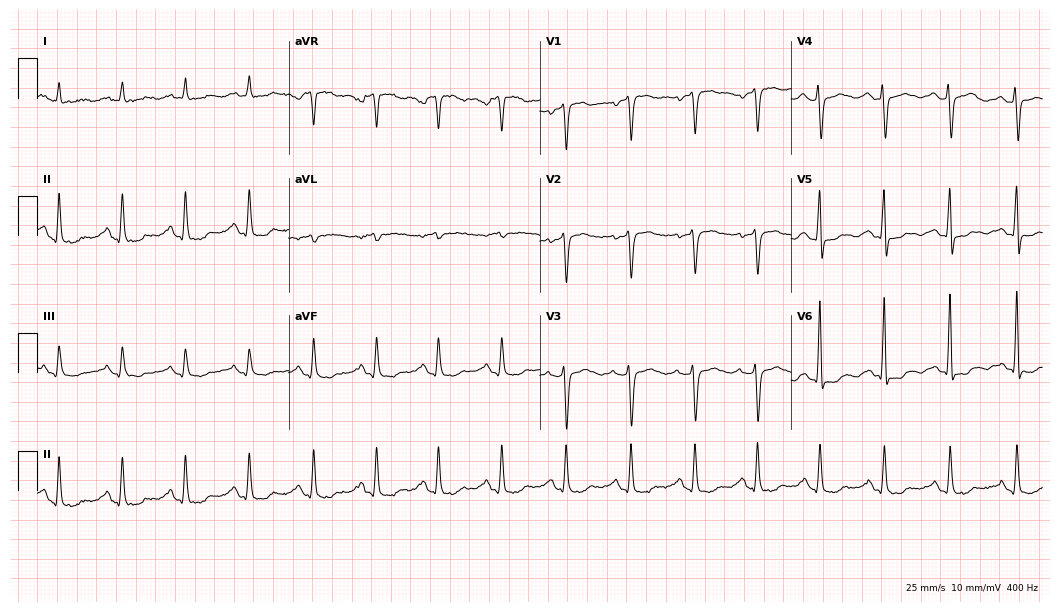
12-lead ECG from a 58-year-old female patient. Screened for six findings — first-degree AV block, right bundle branch block, left bundle branch block, sinus bradycardia, atrial fibrillation, sinus tachycardia — none is recorded. Findings outside these six are not listed.